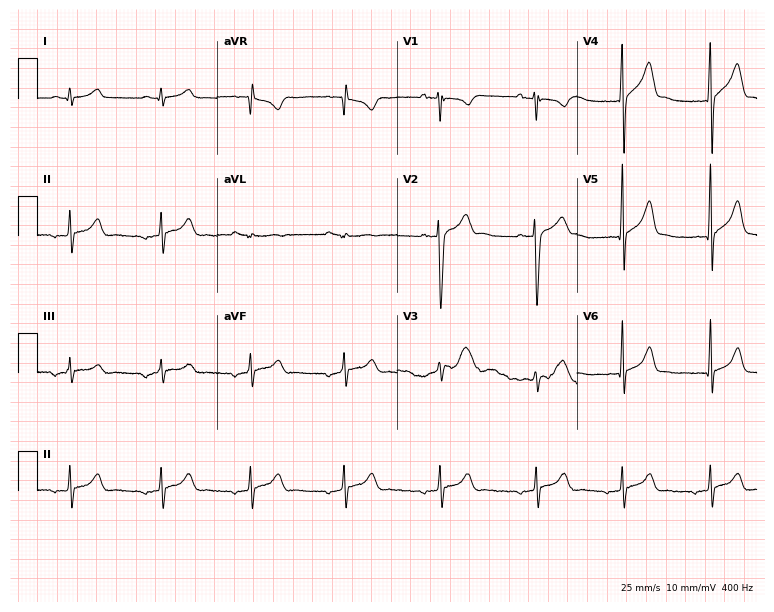
ECG (7.3-second recording at 400 Hz) — an 18-year-old man. Screened for six findings — first-degree AV block, right bundle branch block (RBBB), left bundle branch block (LBBB), sinus bradycardia, atrial fibrillation (AF), sinus tachycardia — none is recorded.